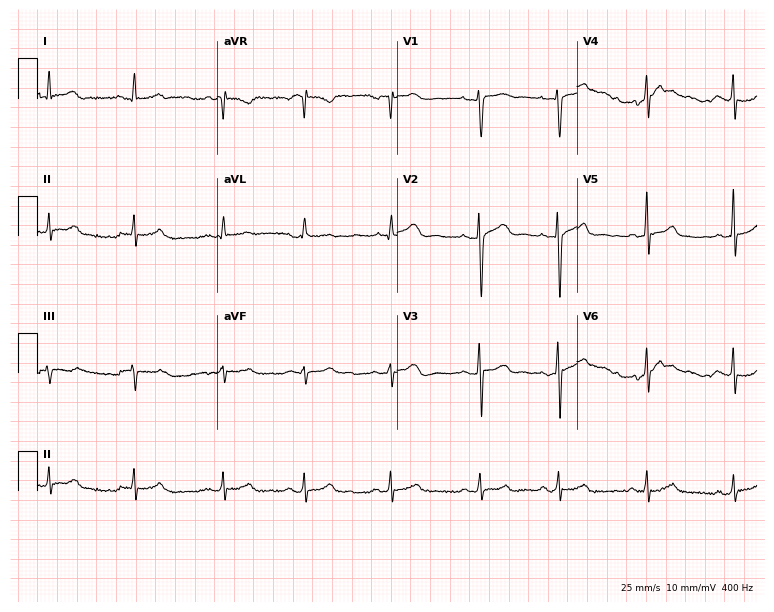
Standard 12-lead ECG recorded from a female, 19 years old (7.3-second recording at 400 Hz). Read as a normal ECG.